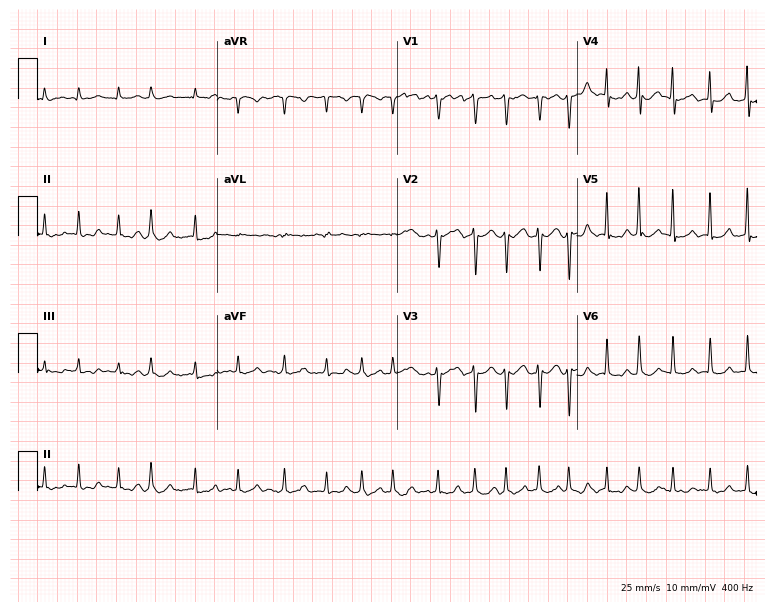
Resting 12-lead electrocardiogram. Patient: a 72-year-old male. The tracing shows atrial fibrillation.